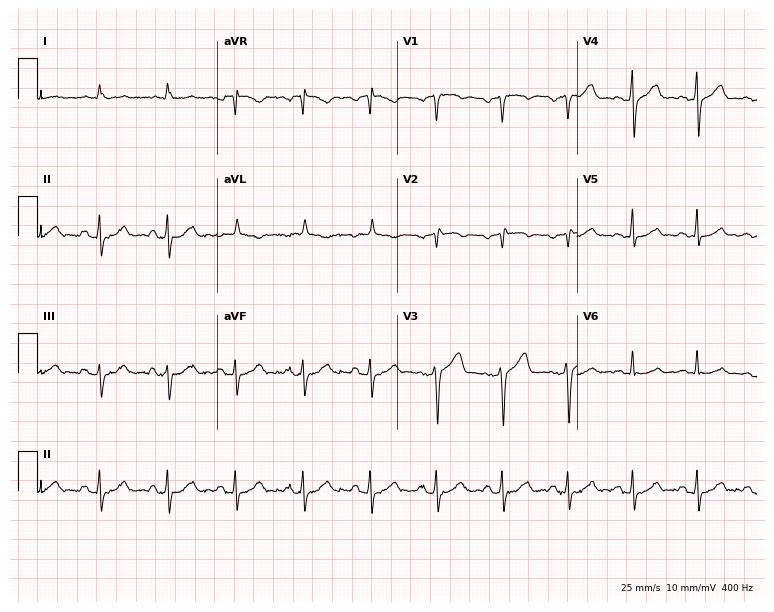
Standard 12-lead ECG recorded from a man, 52 years old (7.3-second recording at 400 Hz). None of these six findings is recorded: first-degree AV block, right bundle branch block (RBBB), left bundle branch block (LBBB), sinus bradycardia, atrial fibrillation (AF), sinus tachycardia.